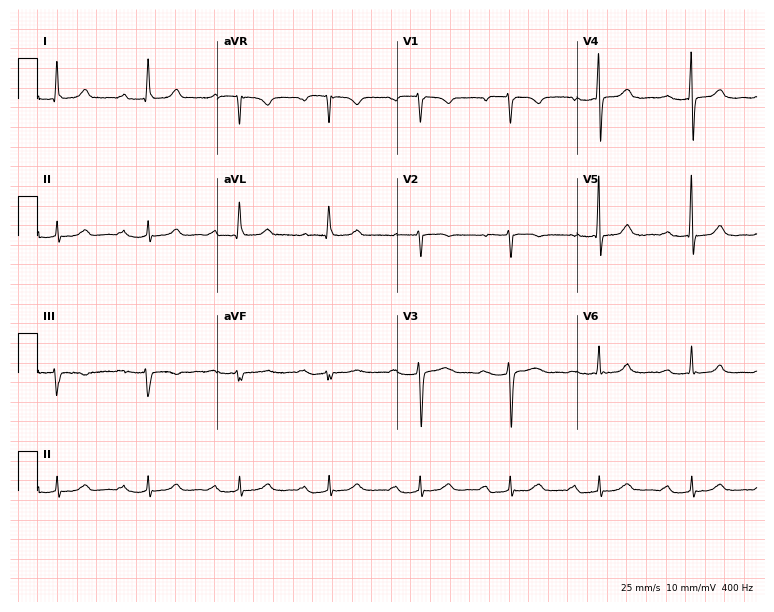
12-lead ECG from a 73-year-old woman (7.3-second recording at 400 Hz). Shows first-degree AV block.